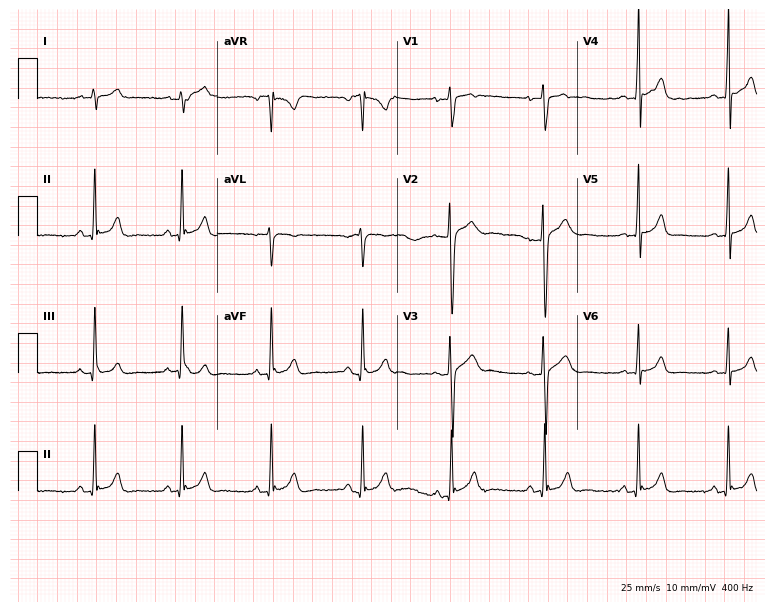
Electrocardiogram, a male, 17 years old. Overall reading on record: normal ECG.